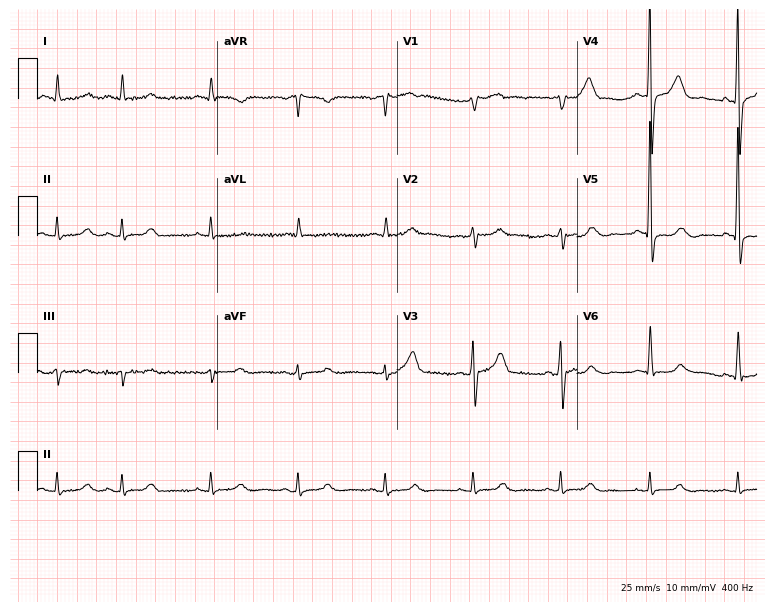
ECG — a man, 82 years old. Labelled as a normal ECG.